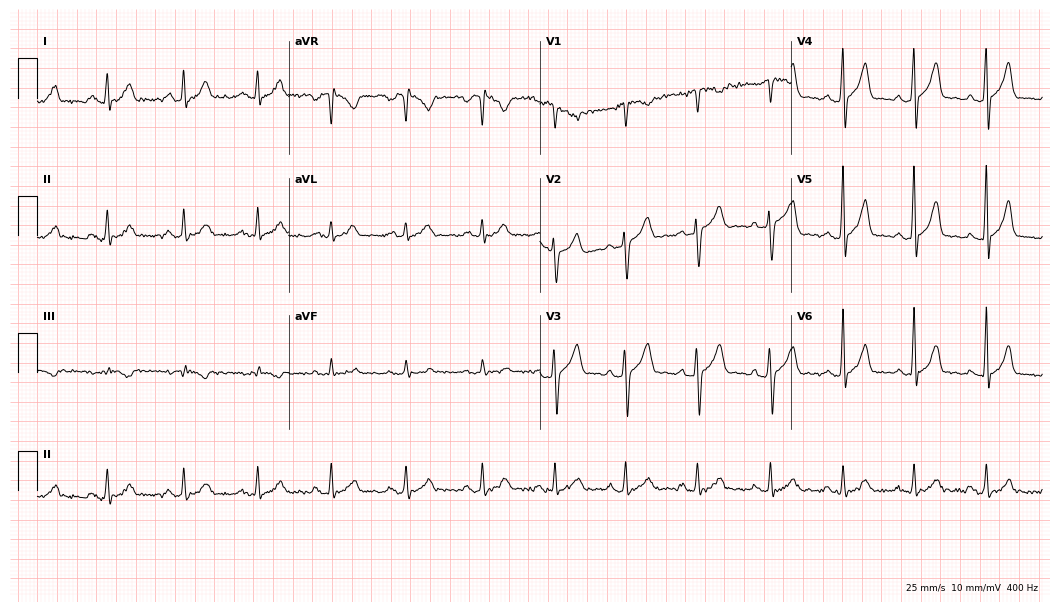
Resting 12-lead electrocardiogram (10.2-second recording at 400 Hz). Patient: a 36-year-old man. None of these six findings is recorded: first-degree AV block, right bundle branch block, left bundle branch block, sinus bradycardia, atrial fibrillation, sinus tachycardia. Other findings, if any, are not listed.